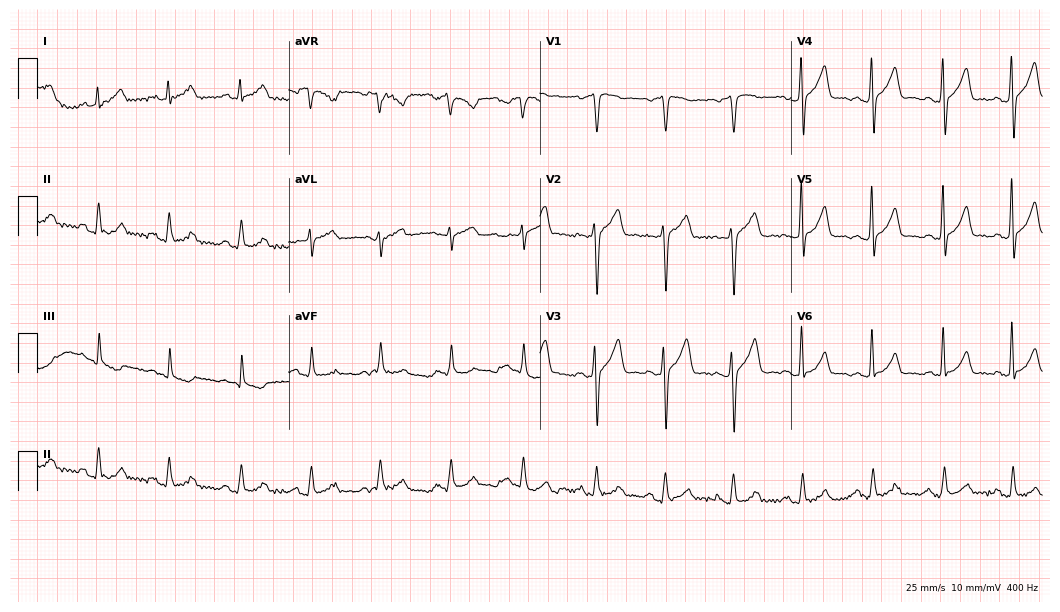
ECG (10.2-second recording at 400 Hz) — a 62-year-old man. Screened for six findings — first-degree AV block, right bundle branch block (RBBB), left bundle branch block (LBBB), sinus bradycardia, atrial fibrillation (AF), sinus tachycardia — none is recorded. Other findings, if any, are not listed.